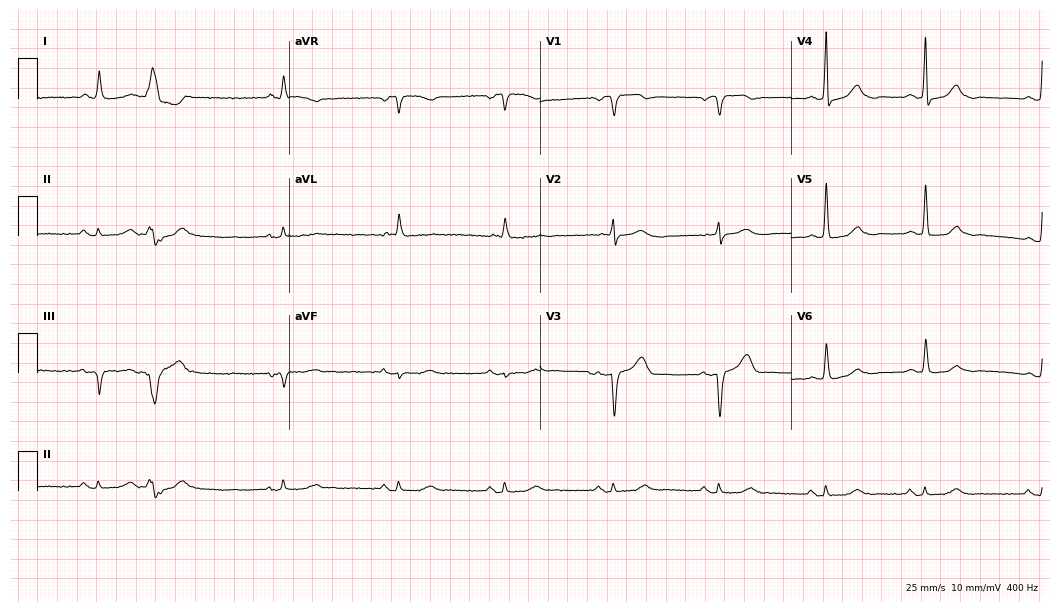
12-lead ECG (10.2-second recording at 400 Hz) from a male patient, 74 years old. Screened for six findings — first-degree AV block, right bundle branch block, left bundle branch block, sinus bradycardia, atrial fibrillation, sinus tachycardia — none is recorded.